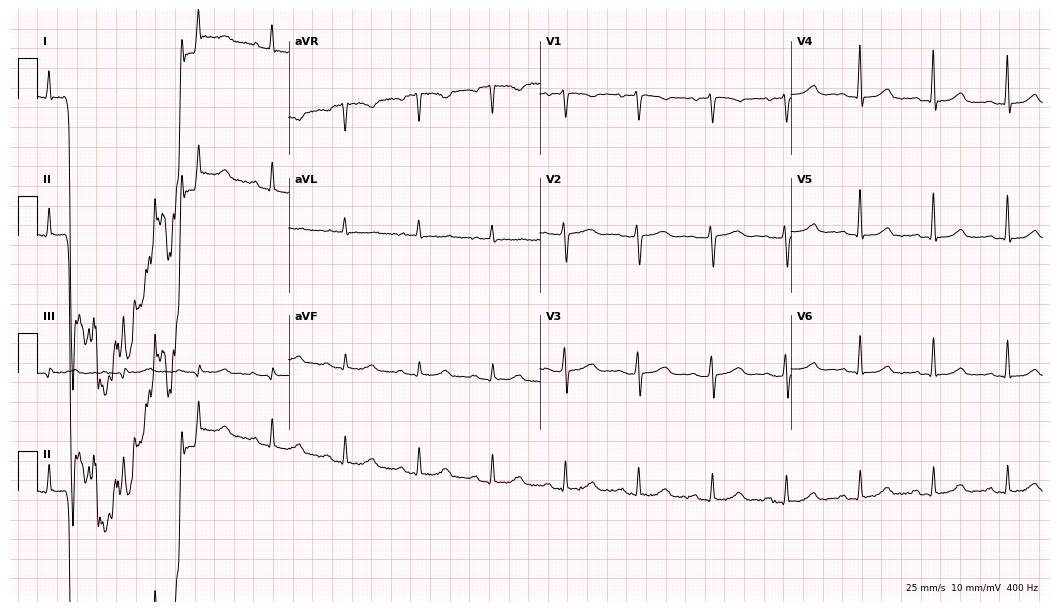
12-lead ECG from a 74-year-old female (10.2-second recording at 400 Hz). No first-degree AV block, right bundle branch block, left bundle branch block, sinus bradycardia, atrial fibrillation or sinus tachycardia recorded for this tracing.